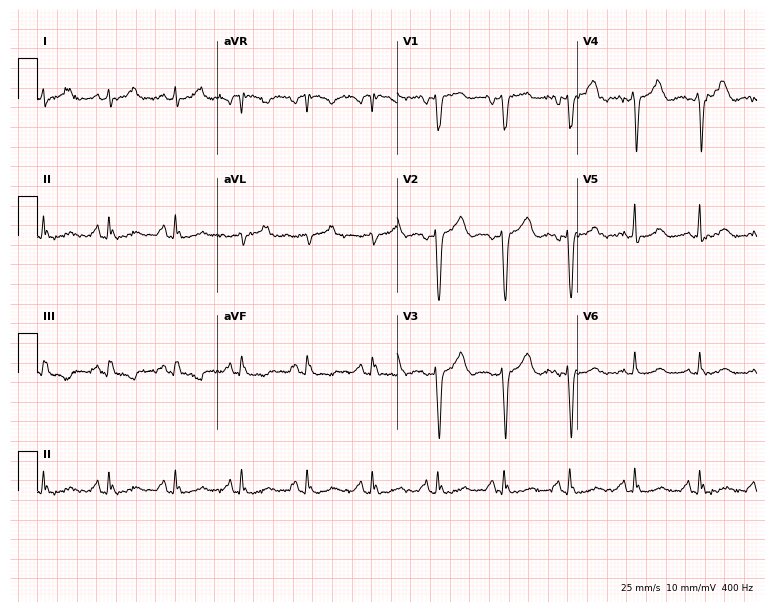
Standard 12-lead ECG recorded from a woman, 54 years old (7.3-second recording at 400 Hz). None of these six findings is recorded: first-degree AV block, right bundle branch block (RBBB), left bundle branch block (LBBB), sinus bradycardia, atrial fibrillation (AF), sinus tachycardia.